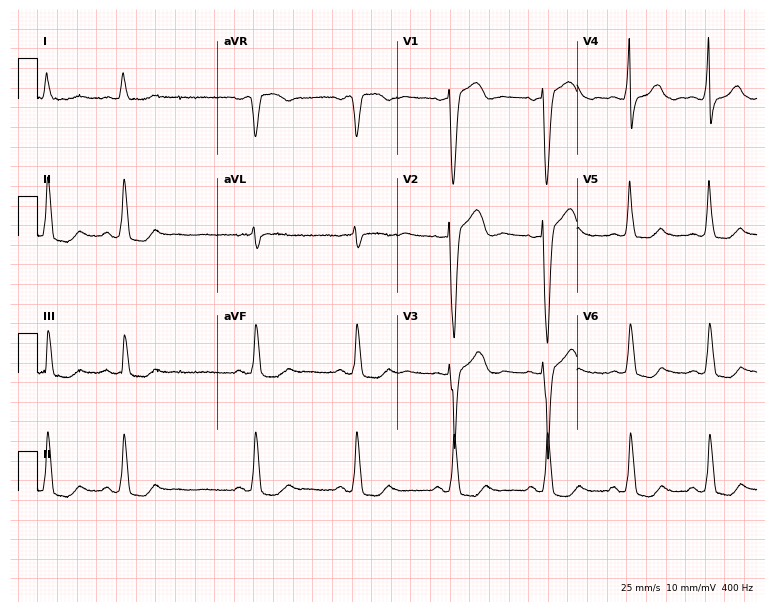
Standard 12-lead ECG recorded from a man, 82 years old (7.3-second recording at 400 Hz). The tracing shows left bundle branch block.